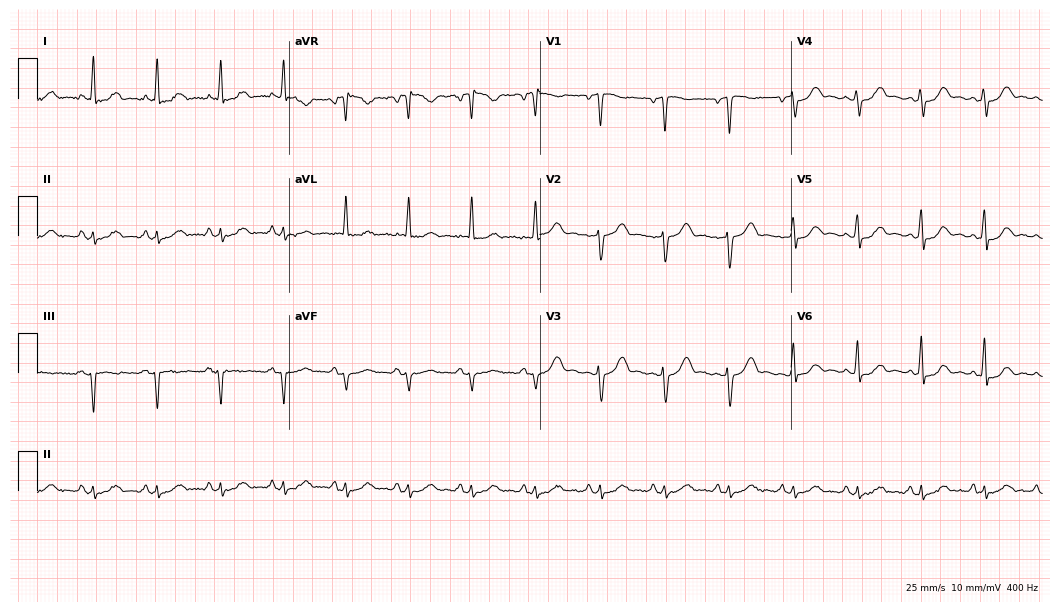
ECG (10.2-second recording at 400 Hz) — a 44-year-old male patient. Labelled as a normal ECG.